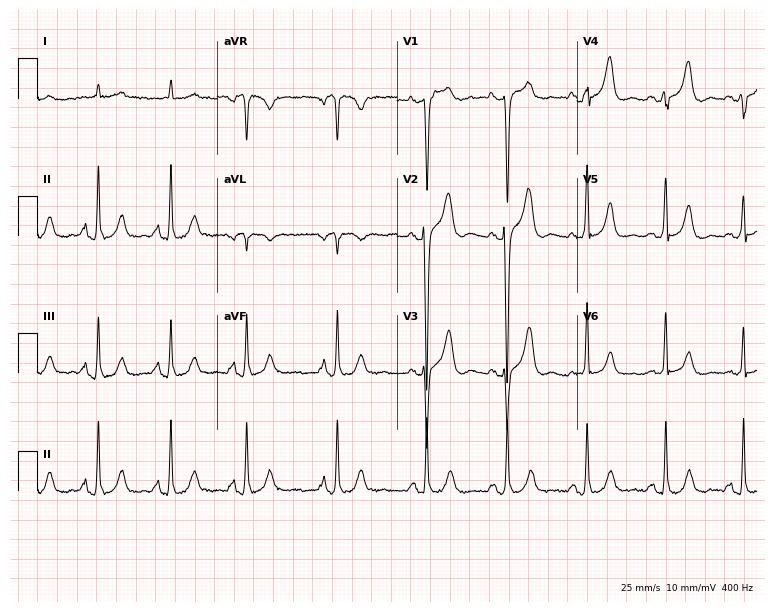
Electrocardiogram (7.3-second recording at 400 Hz), an 83-year-old man. Overall reading on record: normal ECG.